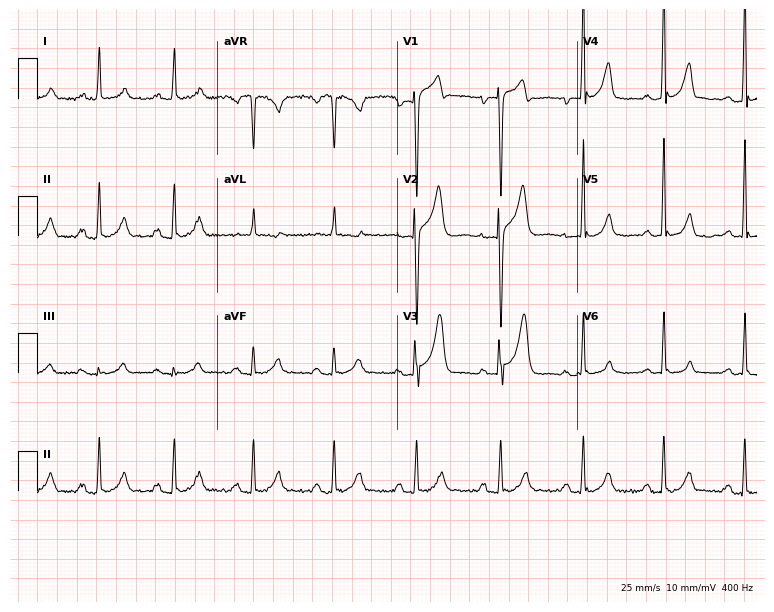
Resting 12-lead electrocardiogram. Patient: a 55-year-old man. None of these six findings is recorded: first-degree AV block, right bundle branch block, left bundle branch block, sinus bradycardia, atrial fibrillation, sinus tachycardia.